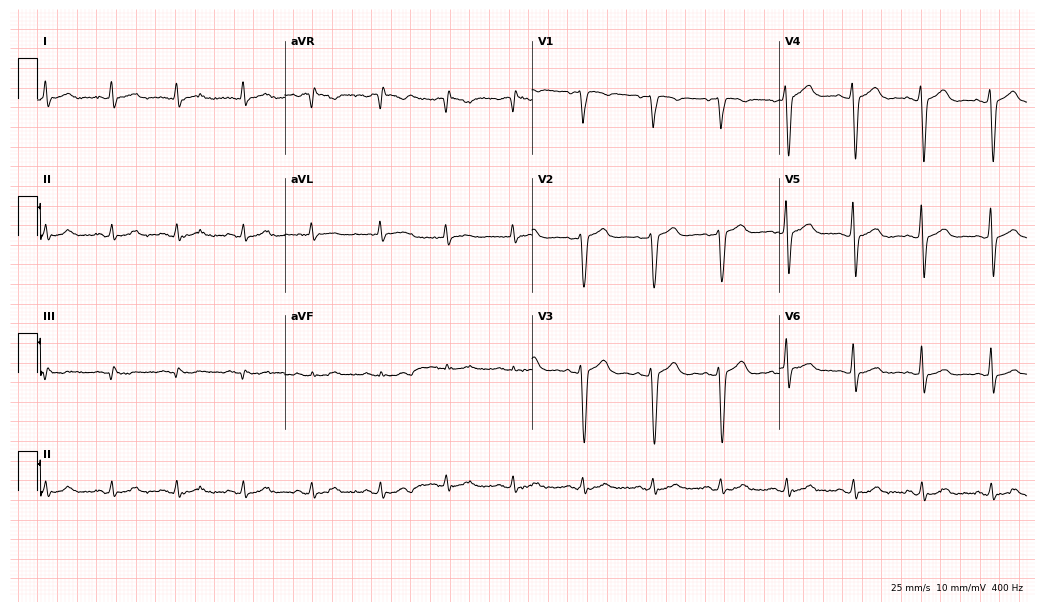
Electrocardiogram, a 47-year-old male. Of the six screened findings (first-degree AV block, right bundle branch block, left bundle branch block, sinus bradycardia, atrial fibrillation, sinus tachycardia), none is recorded.